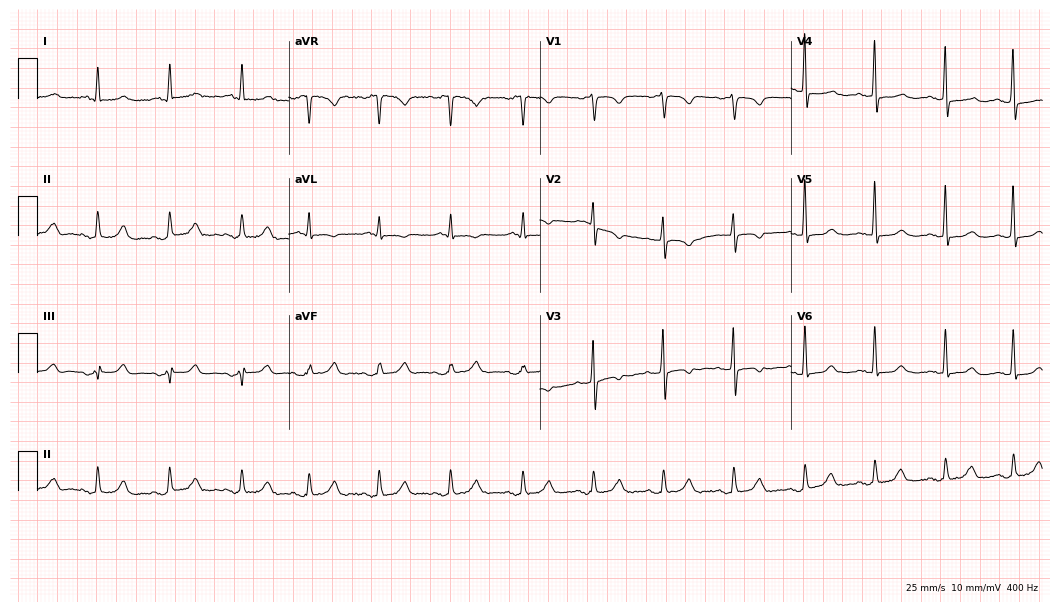
12-lead ECG from a woman, 74 years old (10.2-second recording at 400 Hz). Recorded interpretation: within normal limits.